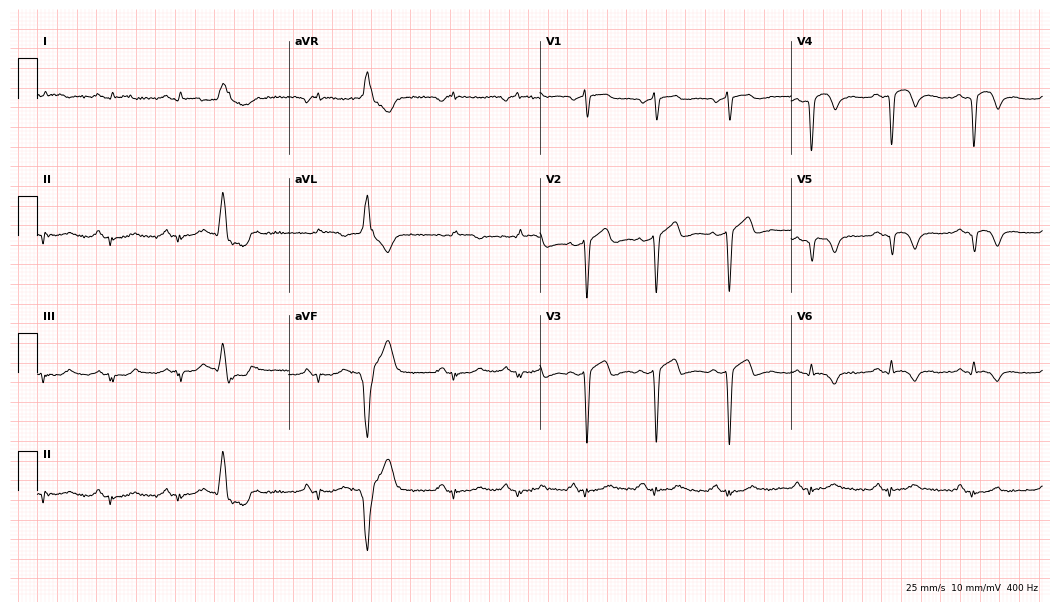
ECG (10.2-second recording at 400 Hz) — a 67-year-old male. Labelled as a normal ECG.